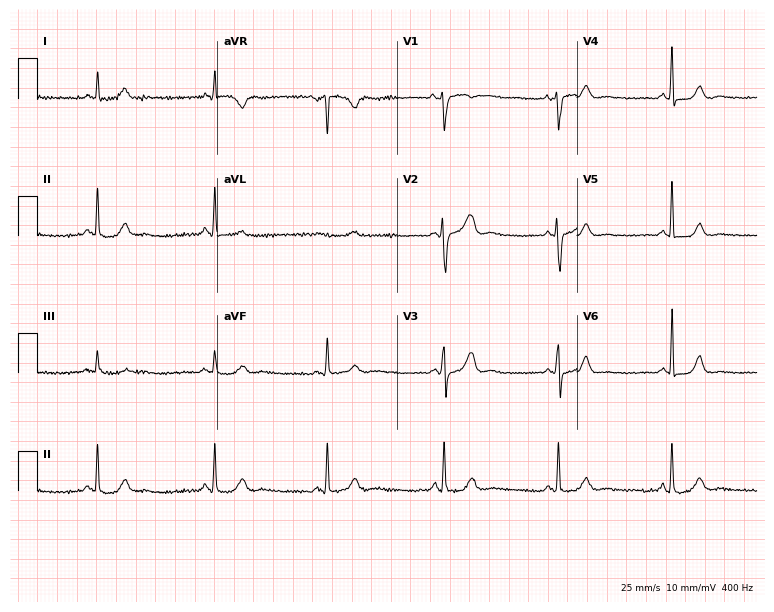
Resting 12-lead electrocardiogram (7.3-second recording at 400 Hz). Patient: a 44-year-old woman. None of these six findings is recorded: first-degree AV block, right bundle branch block, left bundle branch block, sinus bradycardia, atrial fibrillation, sinus tachycardia.